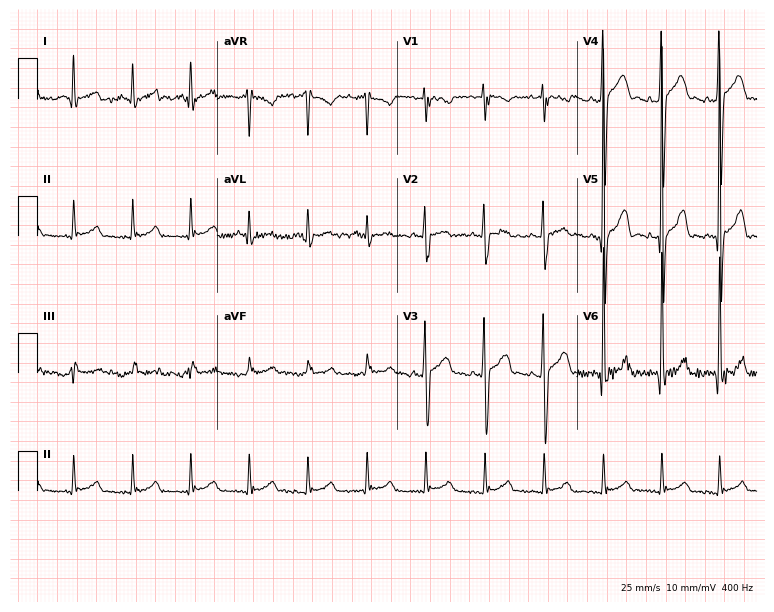
12-lead ECG from a 44-year-old male patient. No first-degree AV block, right bundle branch block (RBBB), left bundle branch block (LBBB), sinus bradycardia, atrial fibrillation (AF) or sinus tachycardia recorded for this tracing.